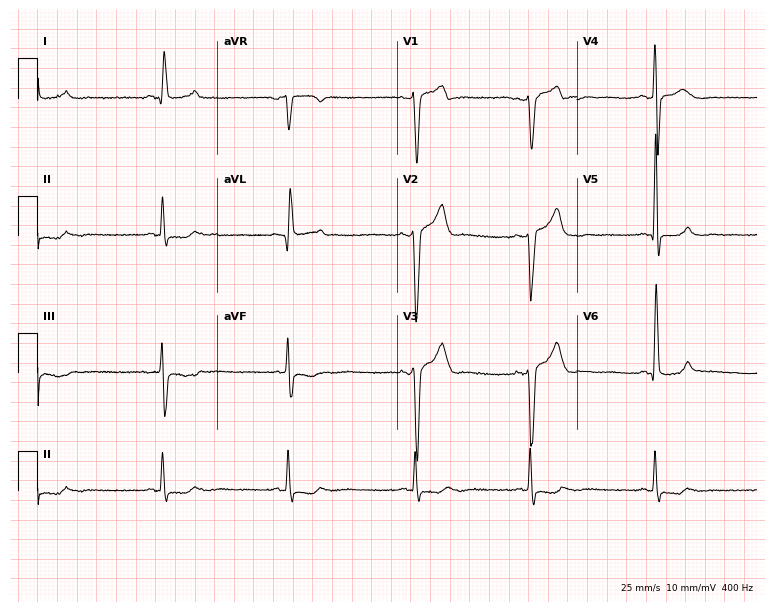
Electrocardiogram, a 76-year-old male. Overall reading on record: normal ECG.